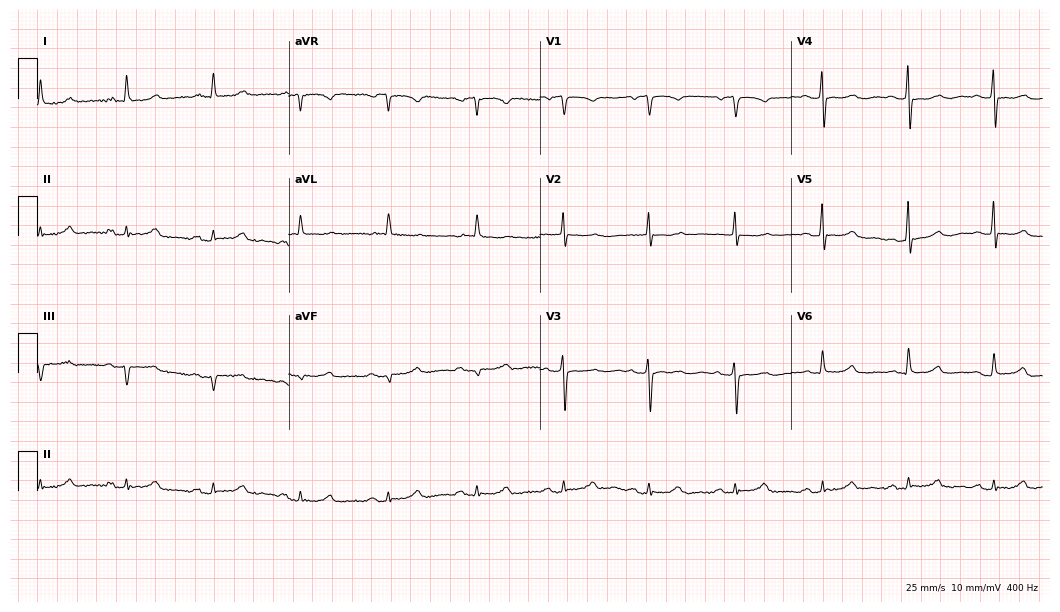
12-lead ECG (10.2-second recording at 400 Hz) from a woman, 70 years old. Labelled as a normal ECG.